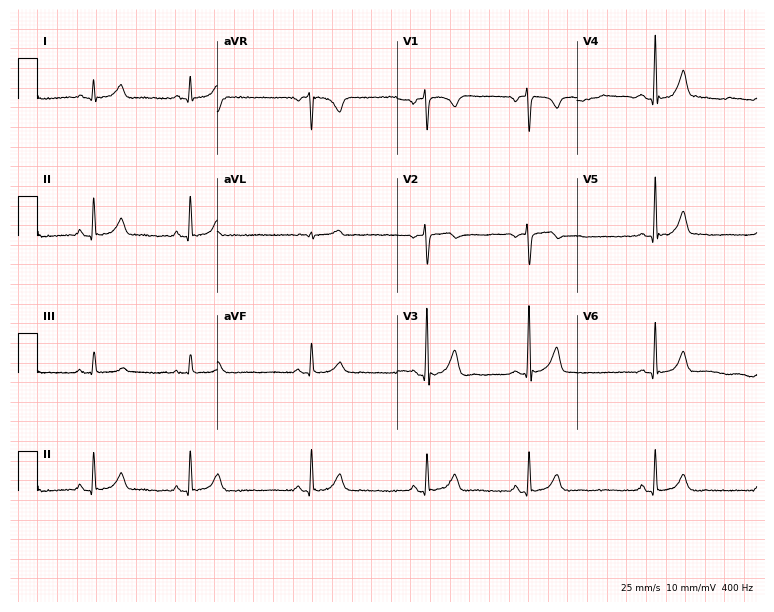
Resting 12-lead electrocardiogram (7.3-second recording at 400 Hz). Patient: a 21-year-old male. Read as a normal ECG.